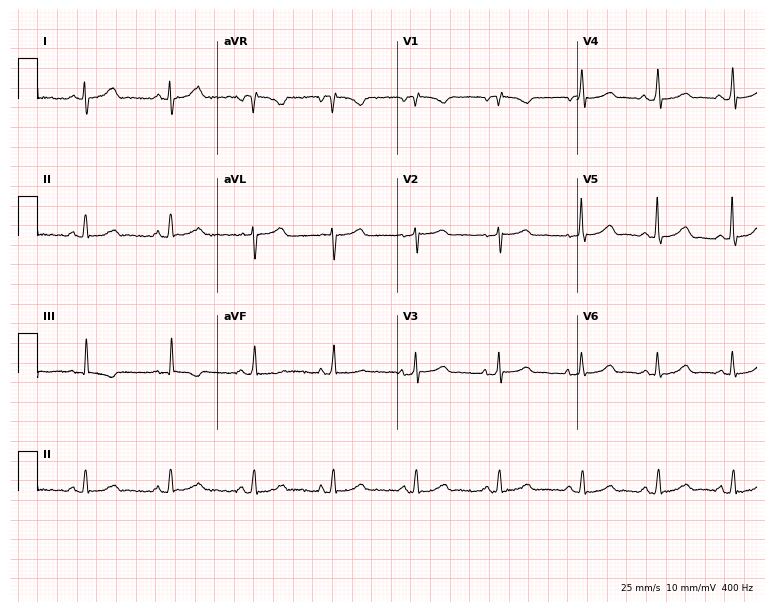
Resting 12-lead electrocardiogram (7.3-second recording at 400 Hz). Patient: a female, 67 years old. Read as a normal ECG.